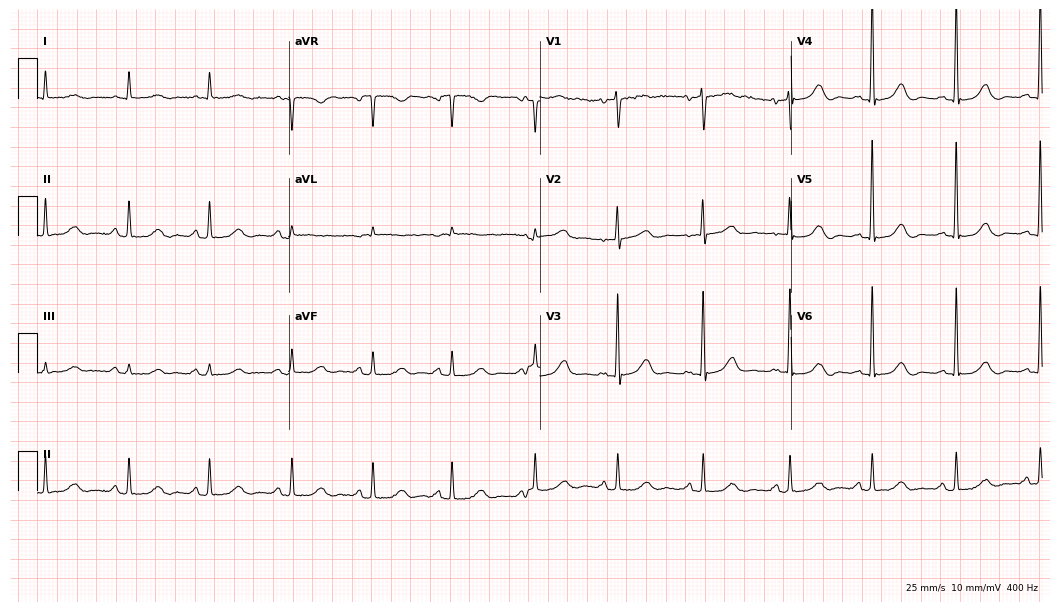
ECG — an 81-year-old woman. Screened for six findings — first-degree AV block, right bundle branch block (RBBB), left bundle branch block (LBBB), sinus bradycardia, atrial fibrillation (AF), sinus tachycardia — none is recorded. Other findings, if any, are not listed.